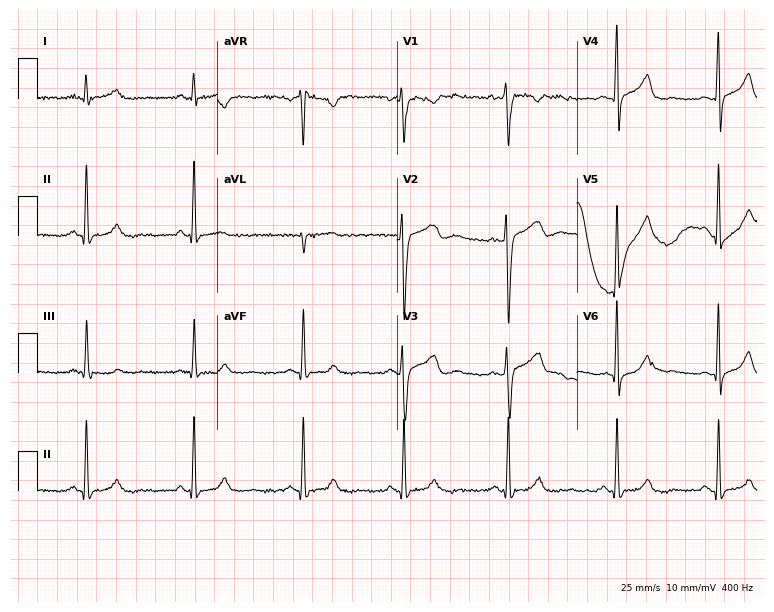
12-lead ECG (7.3-second recording at 400 Hz) from a 42-year-old man. Labelled as a normal ECG.